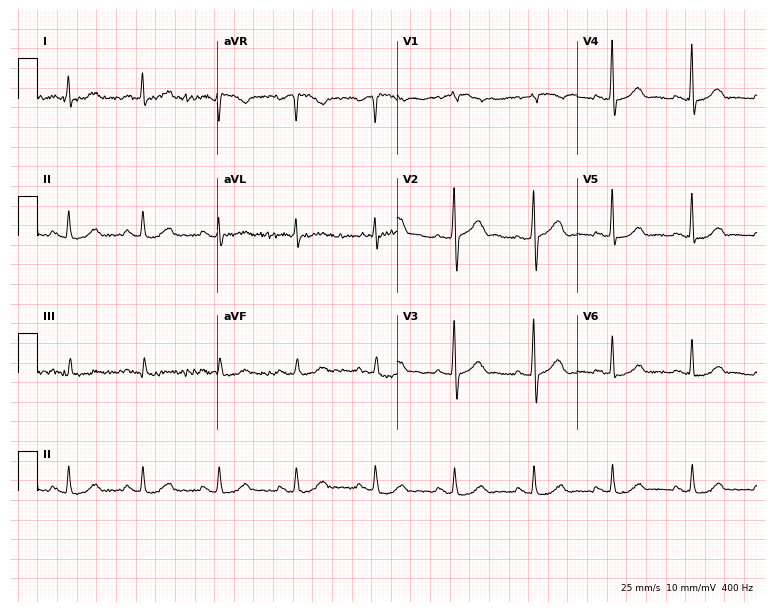
12-lead ECG from a male, 56 years old (7.3-second recording at 400 Hz). Recorded interpretation: within normal limits.